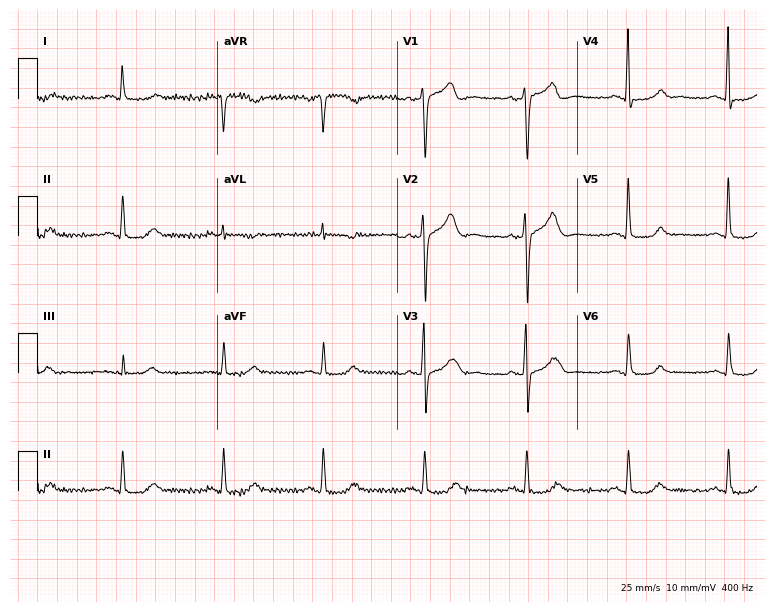
ECG (7.3-second recording at 400 Hz) — a man, 55 years old. Screened for six findings — first-degree AV block, right bundle branch block, left bundle branch block, sinus bradycardia, atrial fibrillation, sinus tachycardia — none is recorded.